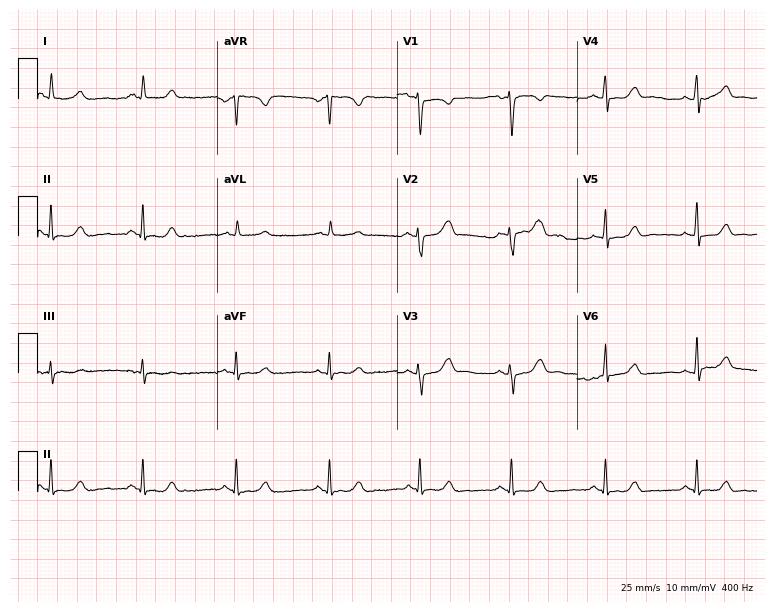
12-lead ECG (7.3-second recording at 400 Hz) from a female patient, 42 years old. Labelled as a normal ECG.